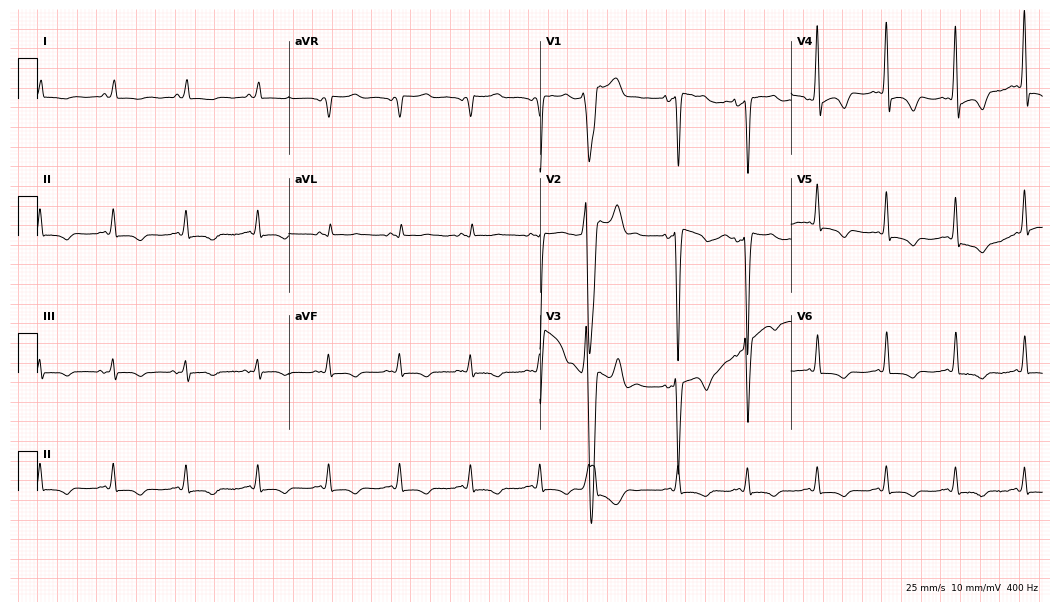
12-lead ECG from a 77-year-old man. No first-degree AV block, right bundle branch block (RBBB), left bundle branch block (LBBB), sinus bradycardia, atrial fibrillation (AF) or sinus tachycardia recorded for this tracing.